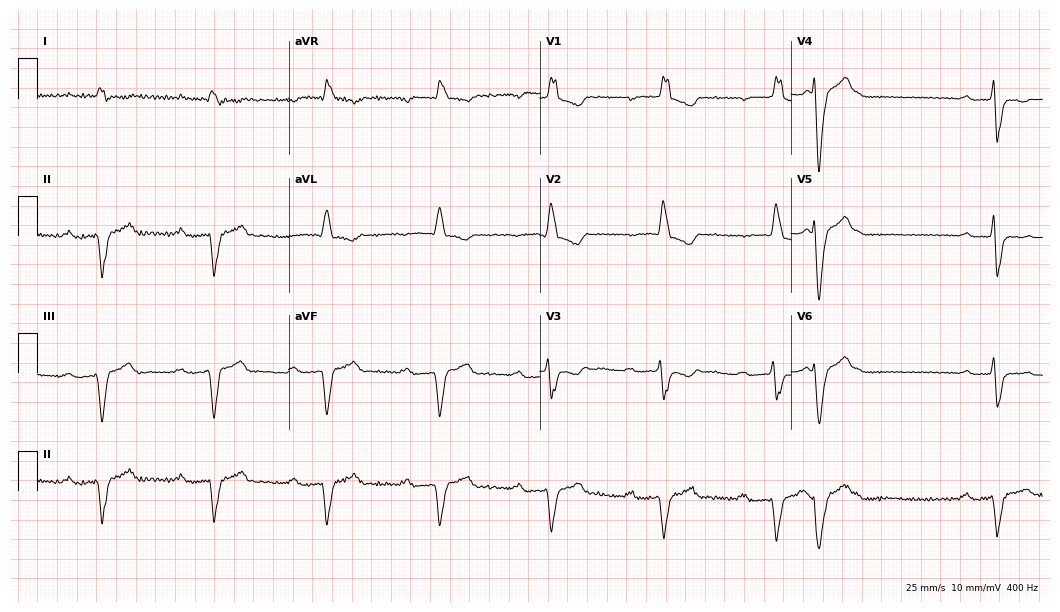
Standard 12-lead ECG recorded from a male patient, 72 years old. The tracing shows first-degree AV block, right bundle branch block.